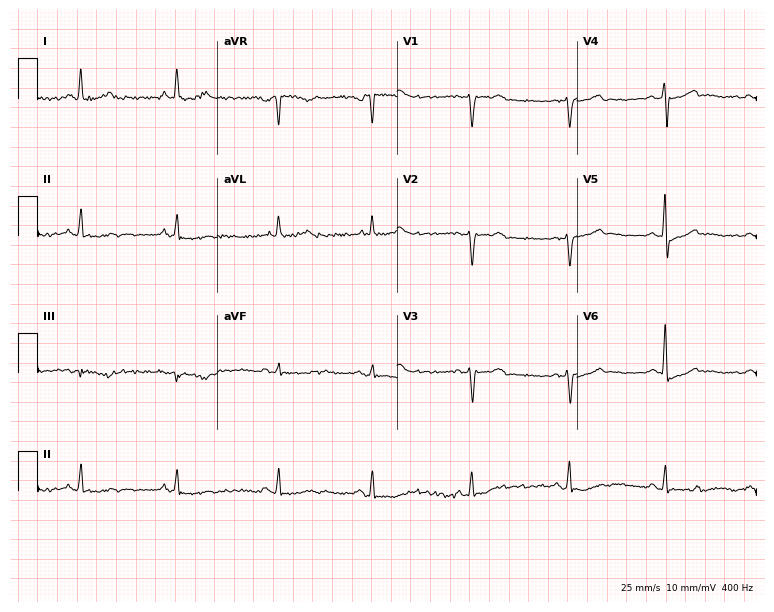
Standard 12-lead ECG recorded from a male patient, 53 years old. None of these six findings is recorded: first-degree AV block, right bundle branch block, left bundle branch block, sinus bradycardia, atrial fibrillation, sinus tachycardia.